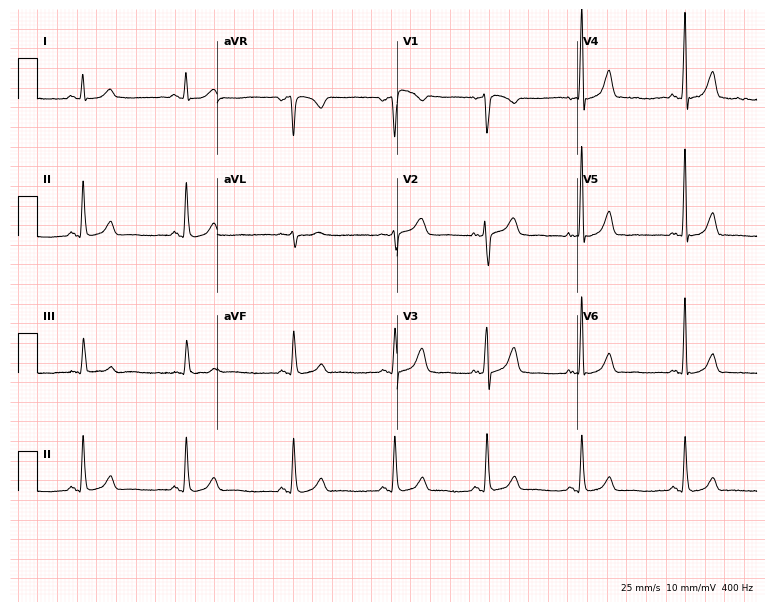
12-lead ECG (7.3-second recording at 400 Hz) from a 62-year-old female. Labelled as a normal ECG.